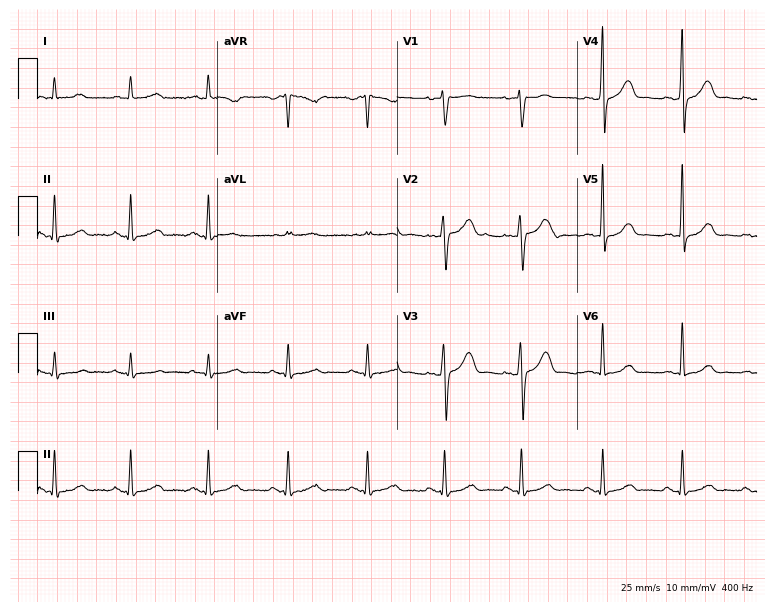
Electrocardiogram (7.3-second recording at 400 Hz), a 56-year-old man. Overall reading on record: normal ECG.